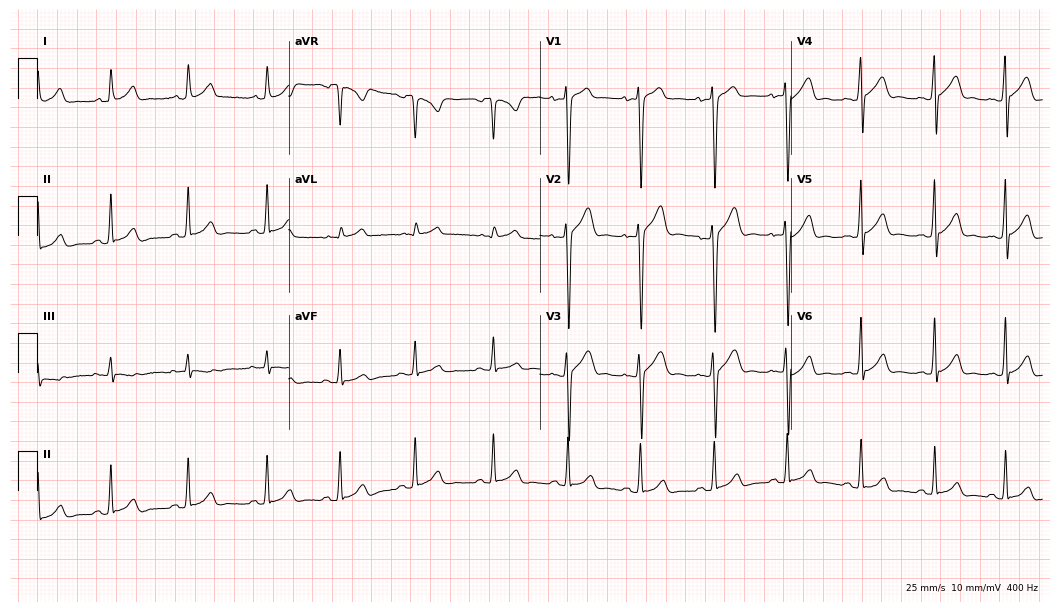
Standard 12-lead ECG recorded from an 18-year-old male patient. None of these six findings is recorded: first-degree AV block, right bundle branch block, left bundle branch block, sinus bradycardia, atrial fibrillation, sinus tachycardia. Findings outside these six are not listed.